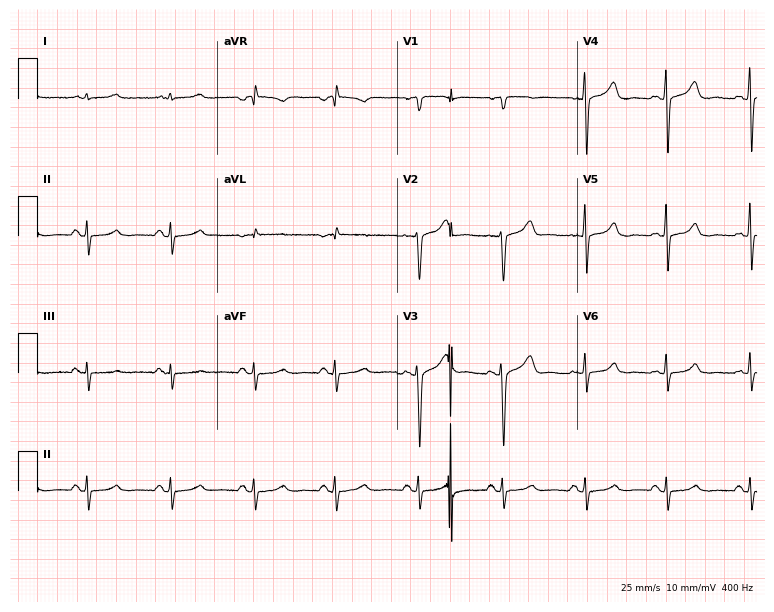
12-lead ECG from a 51-year-old woman. Screened for six findings — first-degree AV block, right bundle branch block, left bundle branch block, sinus bradycardia, atrial fibrillation, sinus tachycardia — none is recorded.